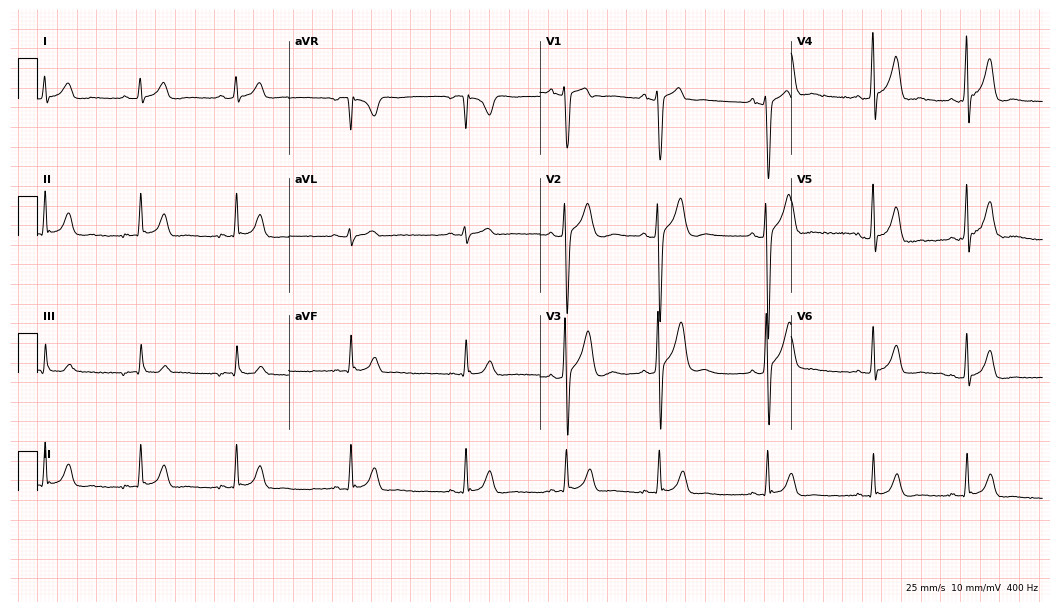
Resting 12-lead electrocardiogram. Patient: a man, 19 years old. None of these six findings is recorded: first-degree AV block, right bundle branch block (RBBB), left bundle branch block (LBBB), sinus bradycardia, atrial fibrillation (AF), sinus tachycardia.